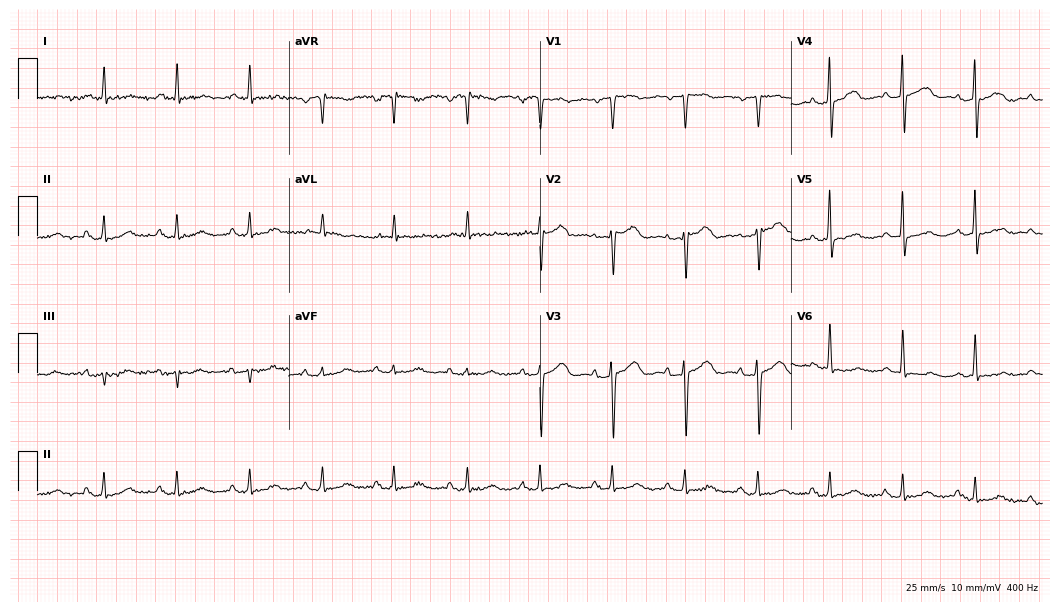
Resting 12-lead electrocardiogram. Patient: a 58-year-old woman. Read as a normal ECG.